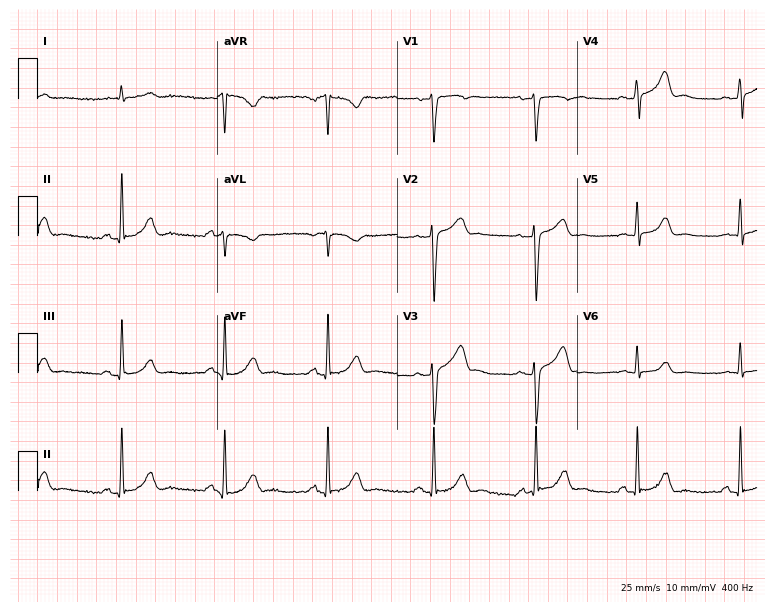
12-lead ECG from a 62-year-old man. Screened for six findings — first-degree AV block, right bundle branch block (RBBB), left bundle branch block (LBBB), sinus bradycardia, atrial fibrillation (AF), sinus tachycardia — none is recorded. Findings outside these six are not listed.